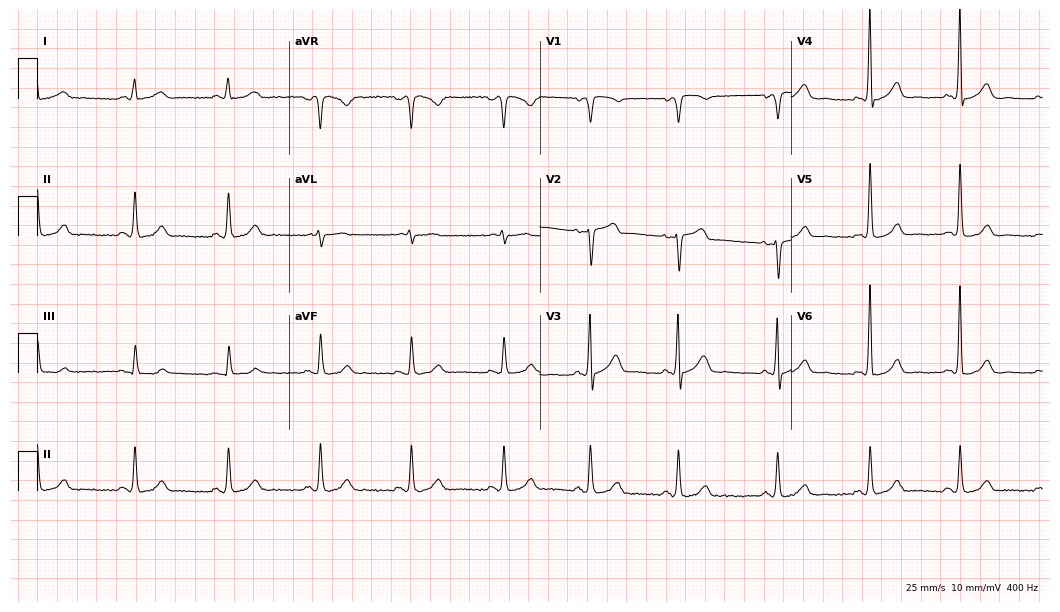
12-lead ECG from a 73-year-old female patient (10.2-second recording at 400 Hz). No first-degree AV block, right bundle branch block (RBBB), left bundle branch block (LBBB), sinus bradycardia, atrial fibrillation (AF) or sinus tachycardia recorded for this tracing.